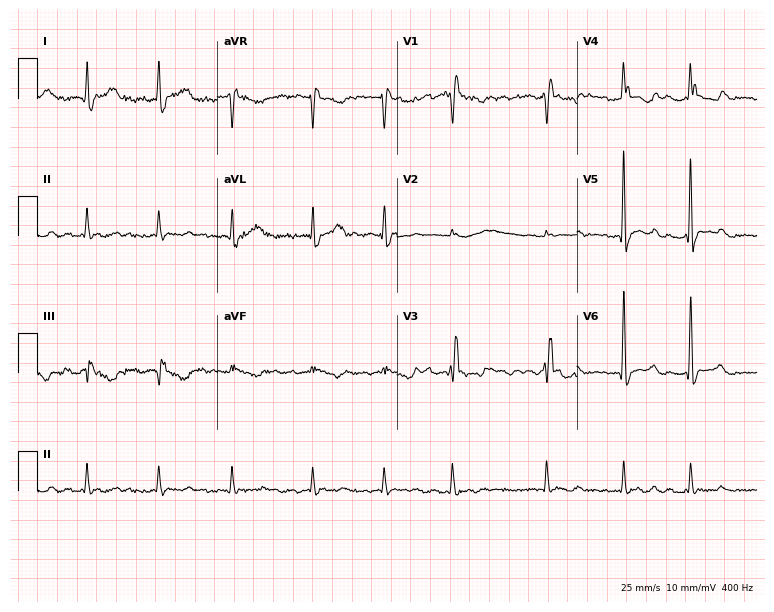
Standard 12-lead ECG recorded from a female patient, 81 years old (7.3-second recording at 400 Hz). None of these six findings is recorded: first-degree AV block, right bundle branch block, left bundle branch block, sinus bradycardia, atrial fibrillation, sinus tachycardia.